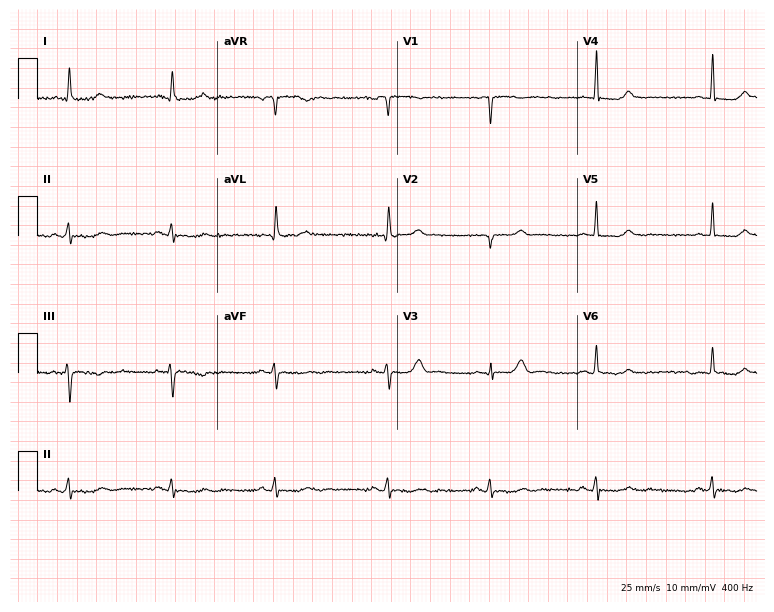
Resting 12-lead electrocardiogram (7.3-second recording at 400 Hz). Patient: a woman, 39 years old. Read as a normal ECG.